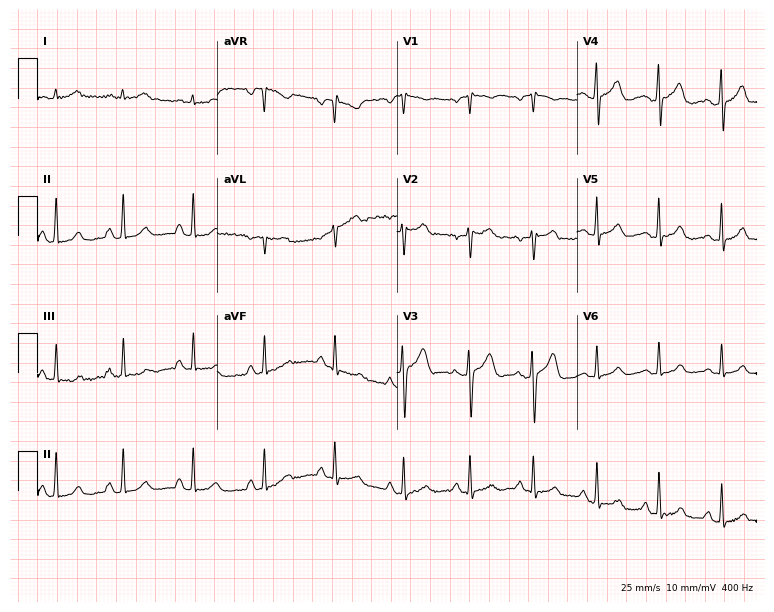
Resting 12-lead electrocardiogram. Patient: a 28-year-old female. None of these six findings is recorded: first-degree AV block, right bundle branch block, left bundle branch block, sinus bradycardia, atrial fibrillation, sinus tachycardia. Only these six findings were labelled.